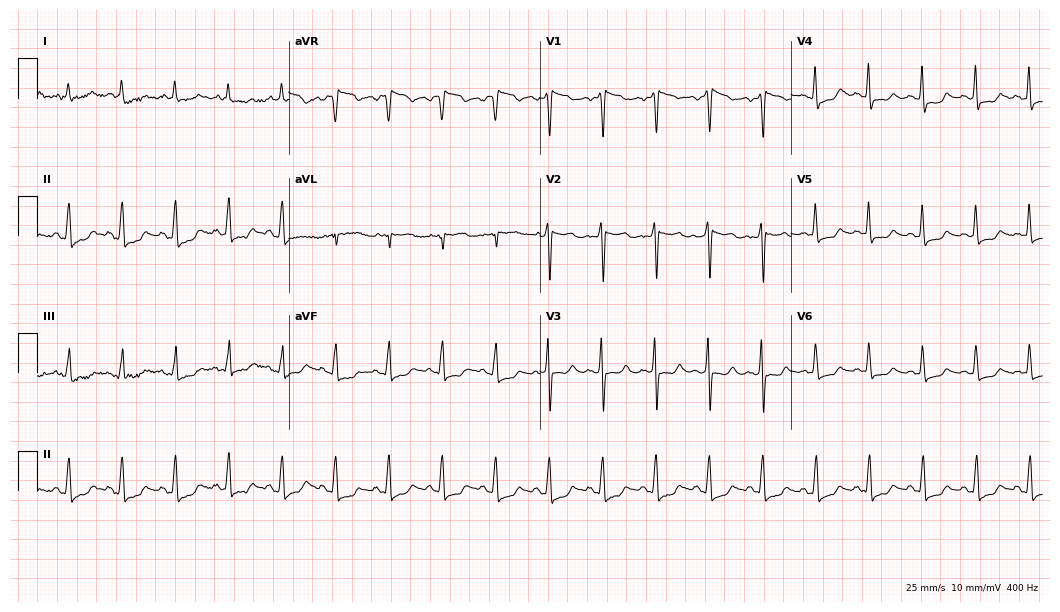
Resting 12-lead electrocardiogram (10.2-second recording at 400 Hz). Patient: a 65-year-old female. The tracing shows sinus tachycardia (a sinus rate of 100 beats per minute or more).